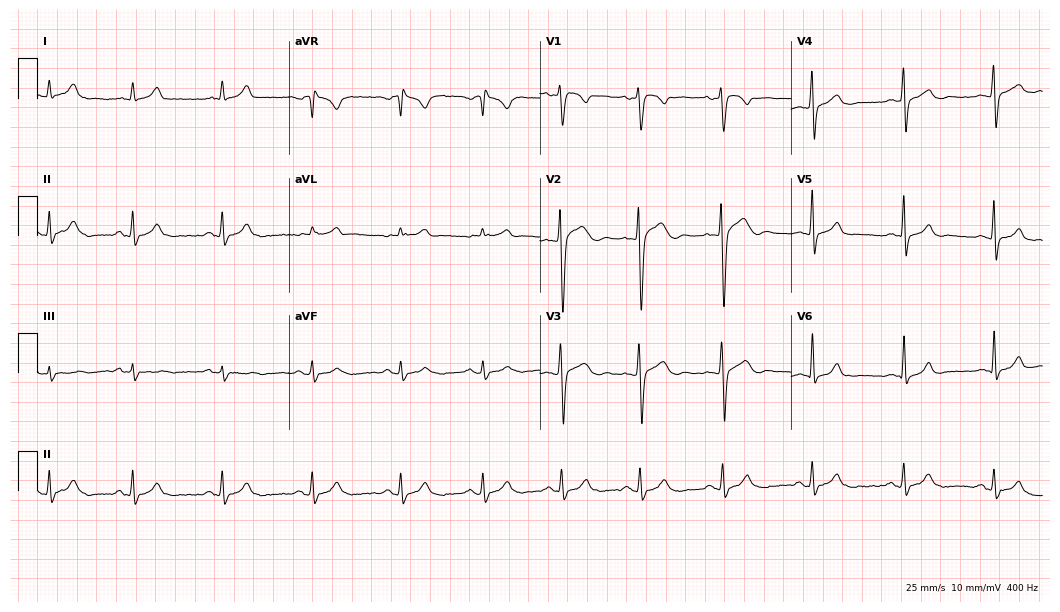
Resting 12-lead electrocardiogram (10.2-second recording at 400 Hz). Patient: a male, 29 years old. Read as a normal ECG.